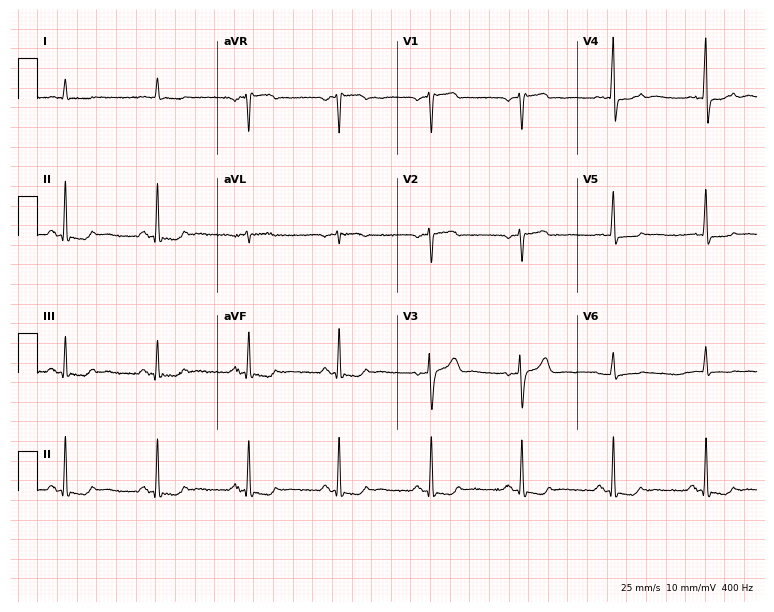
12-lead ECG from a male, 84 years old. No first-degree AV block, right bundle branch block (RBBB), left bundle branch block (LBBB), sinus bradycardia, atrial fibrillation (AF) or sinus tachycardia recorded for this tracing.